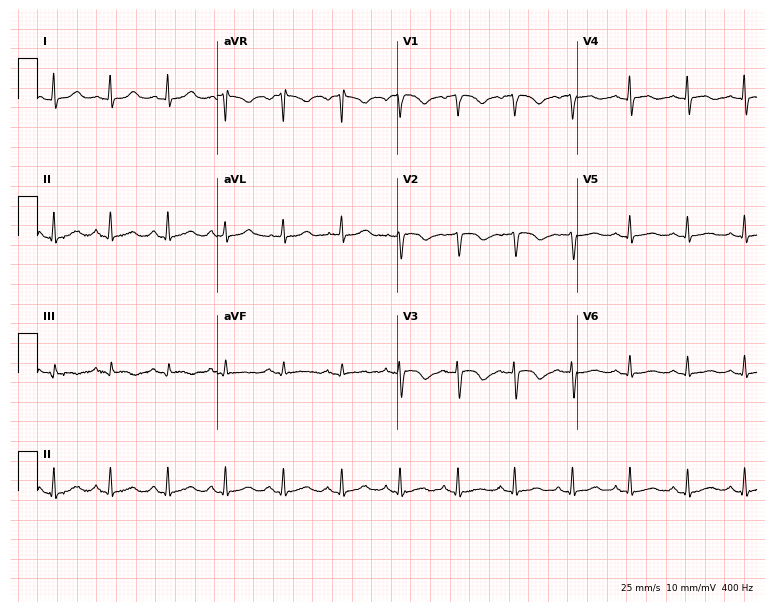
Standard 12-lead ECG recorded from a female, 55 years old (7.3-second recording at 400 Hz). The tracing shows sinus tachycardia (a sinus rate of 100 beats per minute or more).